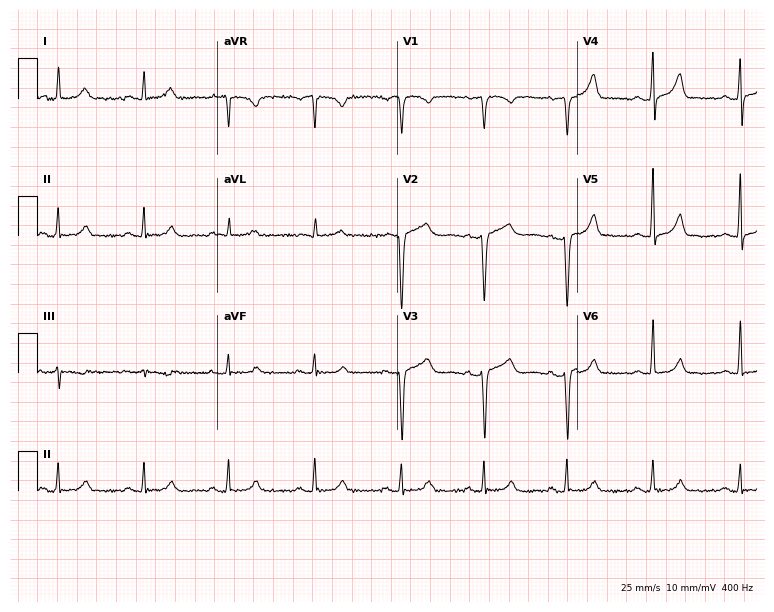
Resting 12-lead electrocardiogram (7.3-second recording at 400 Hz). Patient: a 55-year-old woman. None of these six findings is recorded: first-degree AV block, right bundle branch block (RBBB), left bundle branch block (LBBB), sinus bradycardia, atrial fibrillation (AF), sinus tachycardia.